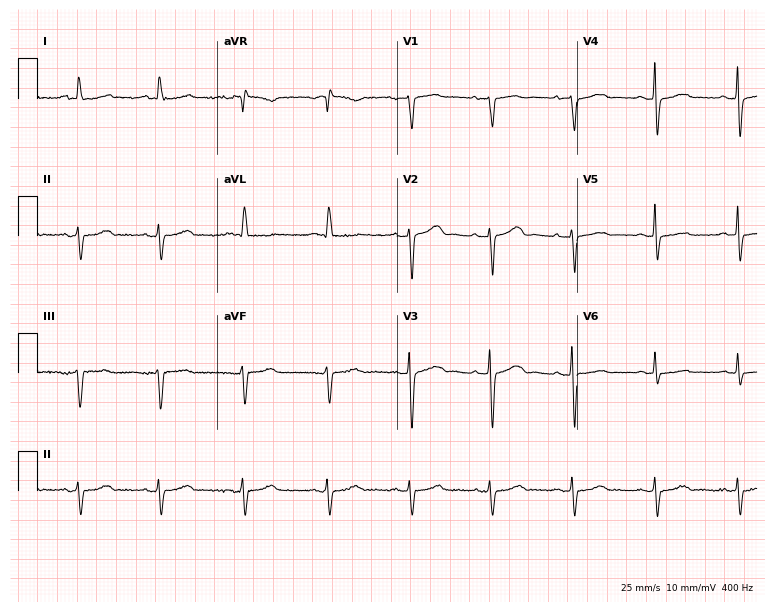
ECG (7.3-second recording at 400 Hz) — a woman, 81 years old. Screened for six findings — first-degree AV block, right bundle branch block (RBBB), left bundle branch block (LBBB), sinus bradycardia, atrial fibrillation (AF), sinus tachycardia — none is recorded.